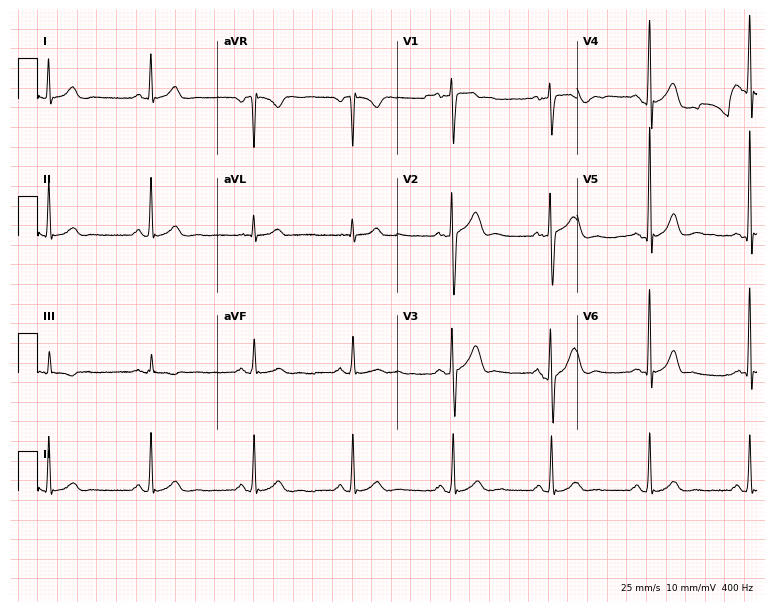
Resting 12-lead electrocardiogram (7.3-second recording at 400 Hz). Patient: a 46-year-old male. None of these six findings is recorded: first-degree AV block, right bundle branch block, left bundle branch block, sinus bradycardia, atrial fibrillation, sinus tachycardia. Only these six findings were labelled.